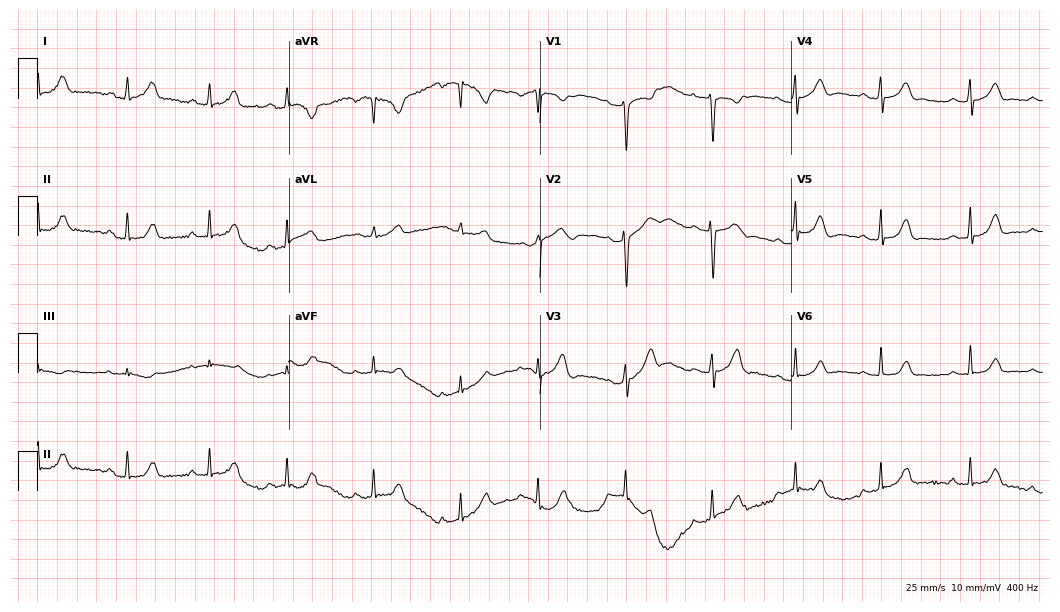
12-lead ECG from a 22-year-old woman (10.2-second recording at 400 Hz). No first-degree AV block, right bundle branch block, left bundle branch block, sinus bradycardia, atrial fibrillation or sinus tachycardia recorded for this tracing. Only these six findings were labelled.